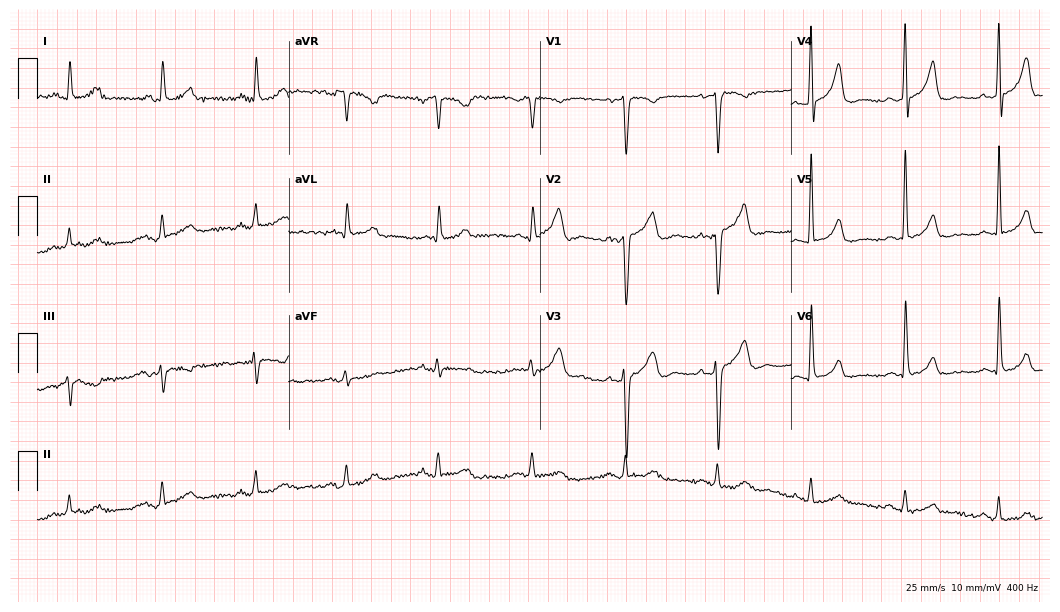
12-lead ECG (10.2-second recording at 400 Hz) from a male, 66 years old. Labelled as a normal ECG.